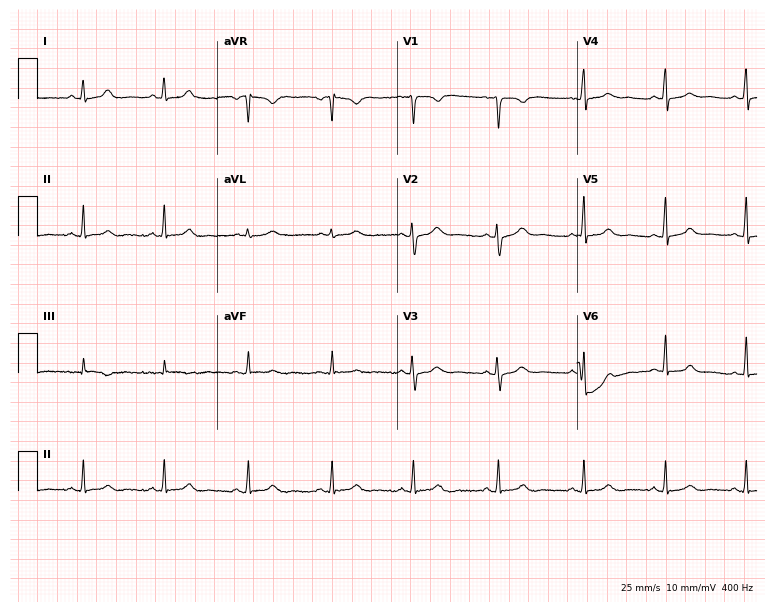
12-lead ECG from a female patient, 31 years old. Recorded interpretation: within normal limits.